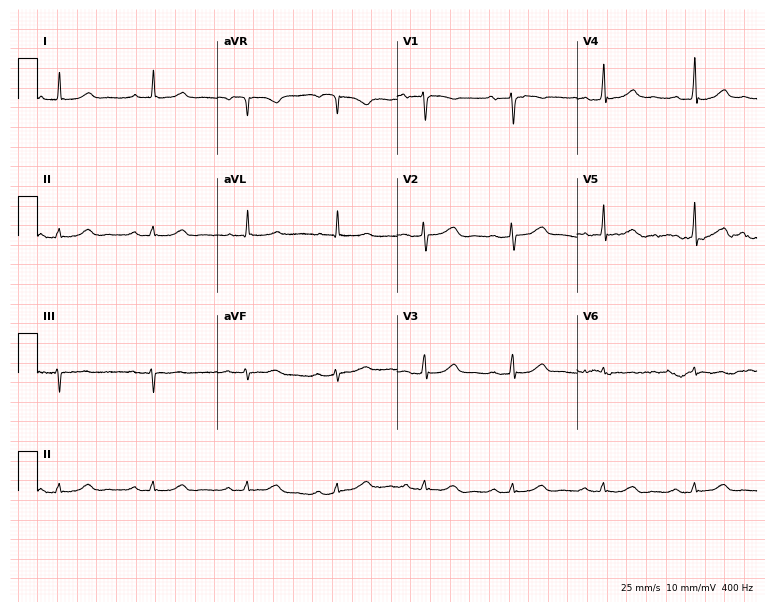
Standard 12-lead ECG recorded from a 73-year-old man (7.3-second recording at 400 Hz). Read as a normal ECG.